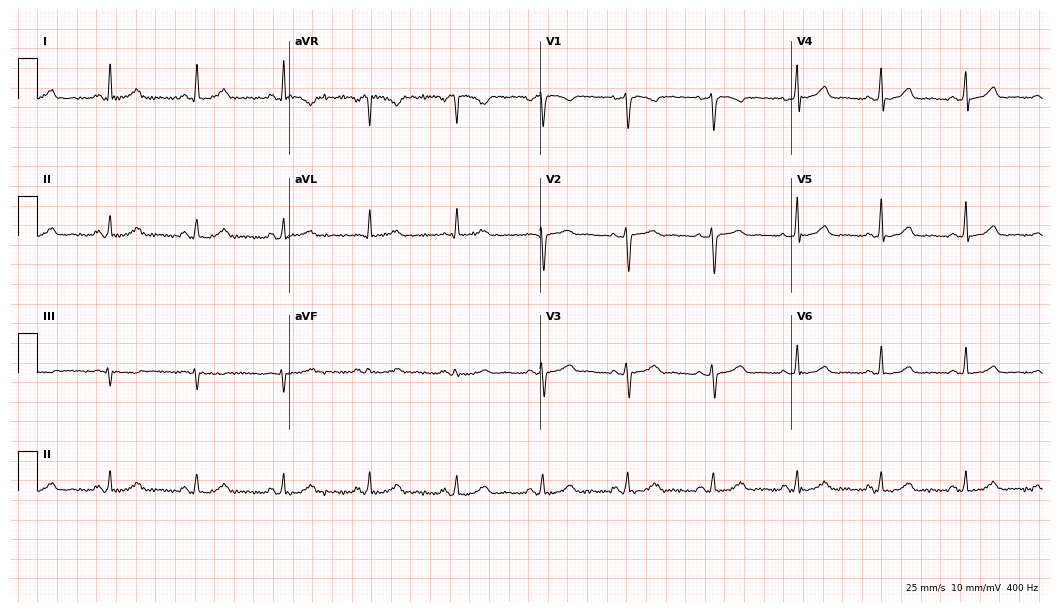
ECG (10.2-second recording at 400 Hz) — a 47-year-old woman. Screened for six findings — first-degree AV block, right bundle branch block (RBBB), left bundle branch block (LBBB), sinus bradycardia, atrial fibrillation (AF), sinus tachycardia — none is recorded. Only these six findings were labelled.